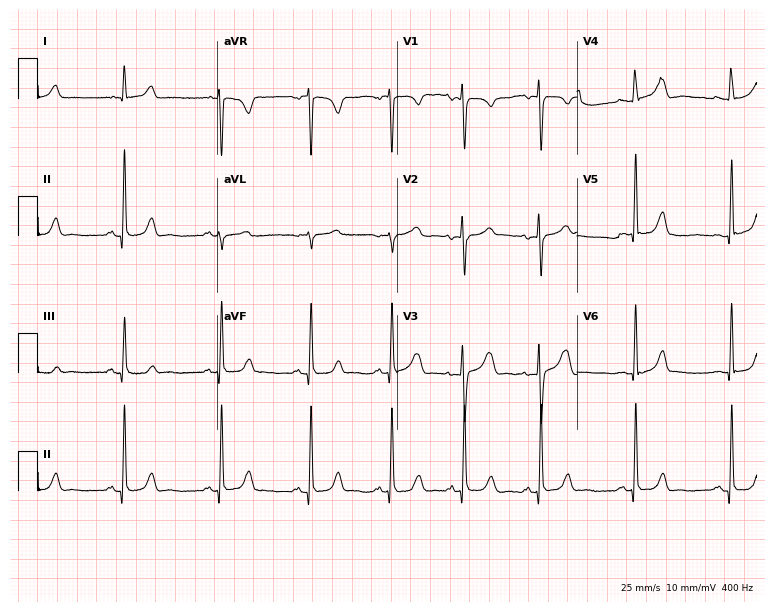
Electrocardiogram (7.3-second recording at 400 Hz), a 24-year-old woman. Overall reading on record: normal ECG.